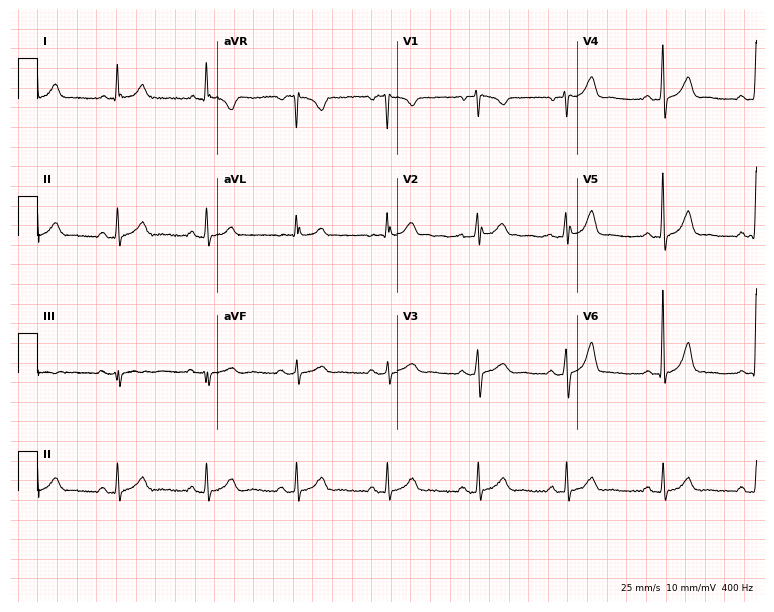
Electrocardiogram (7.3-second recording at 400 Hz), a male, 61 years old. Overall reading on record: normal ECG.